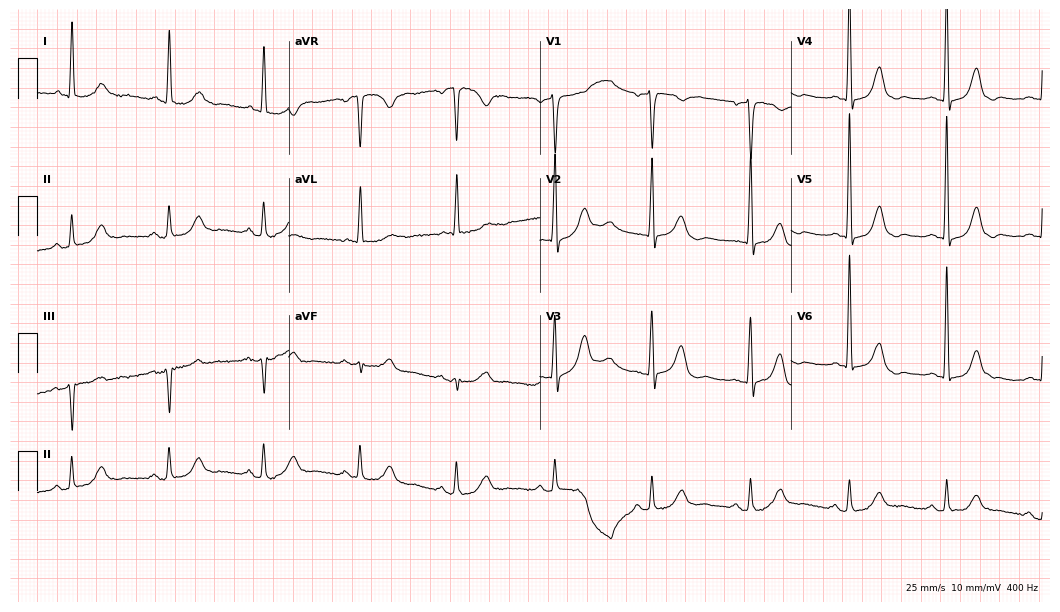
Resting 12-lead electrocardiogram (10.2-second recording at 400 Hz). Patient: a woman, 76 years old. None of these six findings is recorded: first-degree AV block, right bundle branch block (RBBB), left bundle branch block (LBBB), sinus bradycardia, atrial fibrillation (AF), sinus tachycardia.